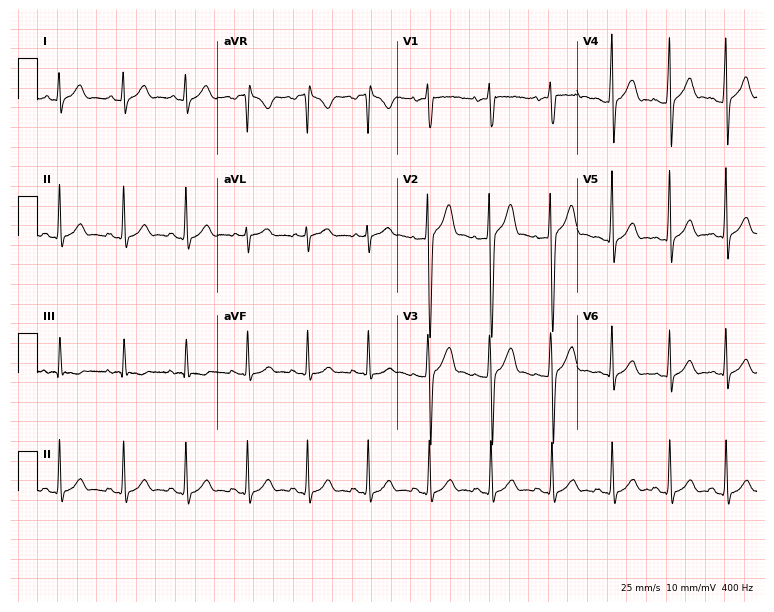
Standard 12-lead ECG recorded from a 17-year-old man (7.3-second recording at 400 Hz). None of these six findings is recorded: first-degree AV block, right bundle branch block (RBBB), left bundle branch block (LBBB), sinus bradycardia, atrial fibrillation (AF), sinus tachycardia. Only these six findings were labelled.